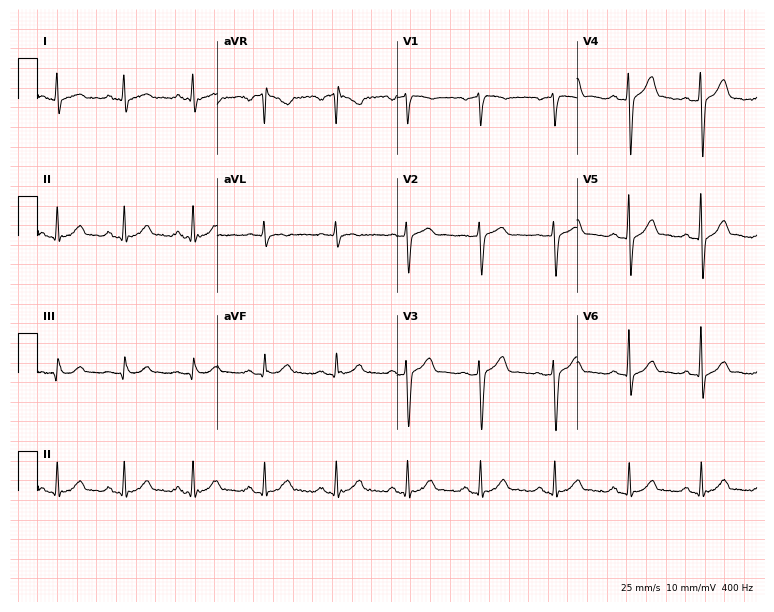
ECG — a male patient, 57 years old. Labelled as a normal ECG.